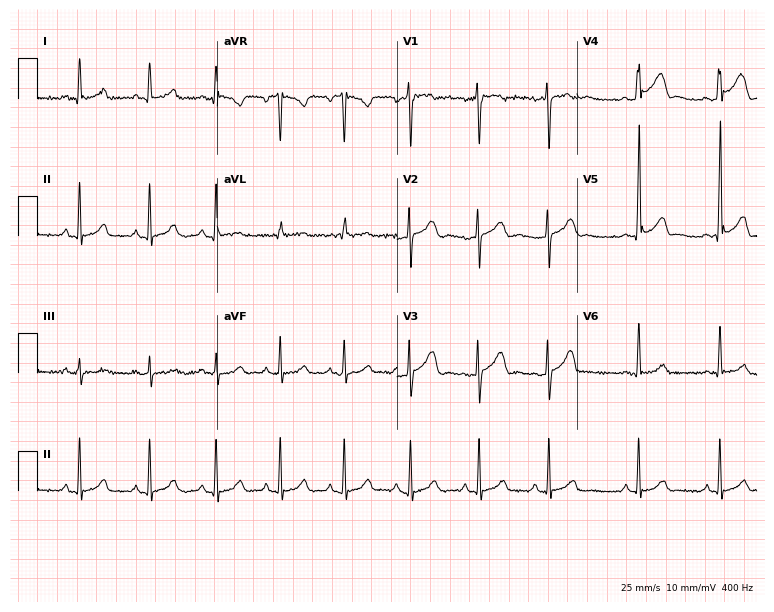
ECG — a male patient, 26 years old. Screened for six findings — first-degree AV block, right bundle branch block (RBBB), left bundle branch block (LBBB), sinus bradycardia, atrial fibrillation (AF), sinus tachycardia — none is recorded.